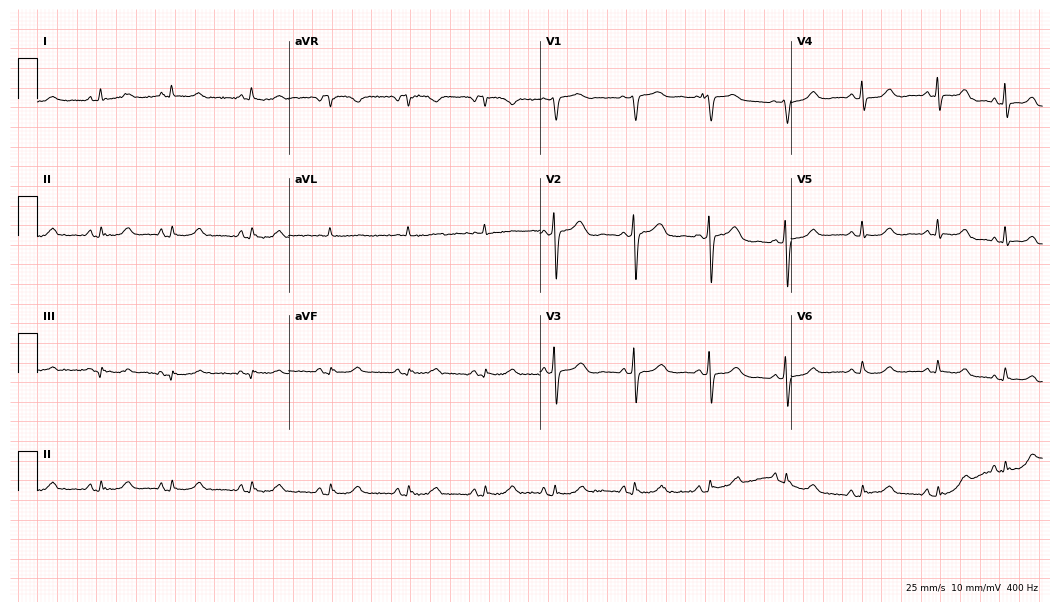
12-lead ECG from a female, 59 years old. Labelled as a normal ECG.